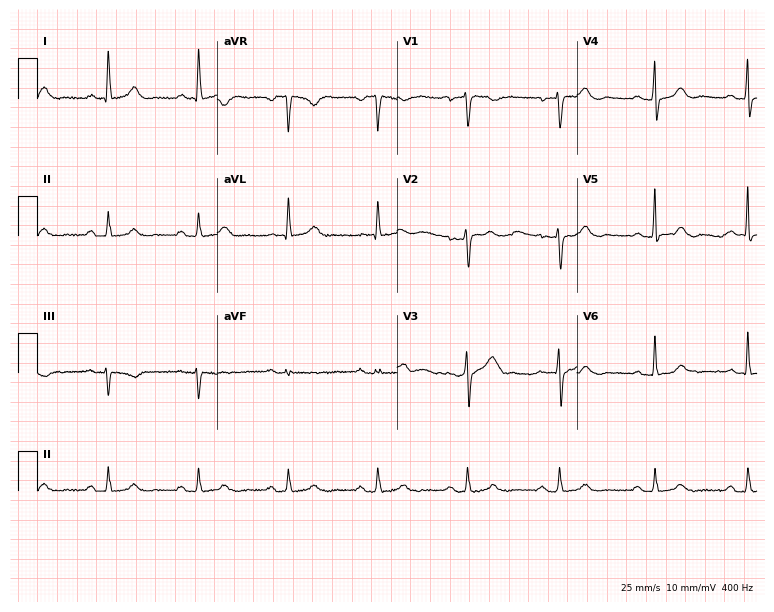
Electrocardiogram, a female, 64 years old. Of the six screened findings (first-degree AV block, right bundle branch block, left bundle branch block, sinus bradycardia, atrial fibrillation, sinus tachycardia), none is recorded. Findings outside these six are not listed.